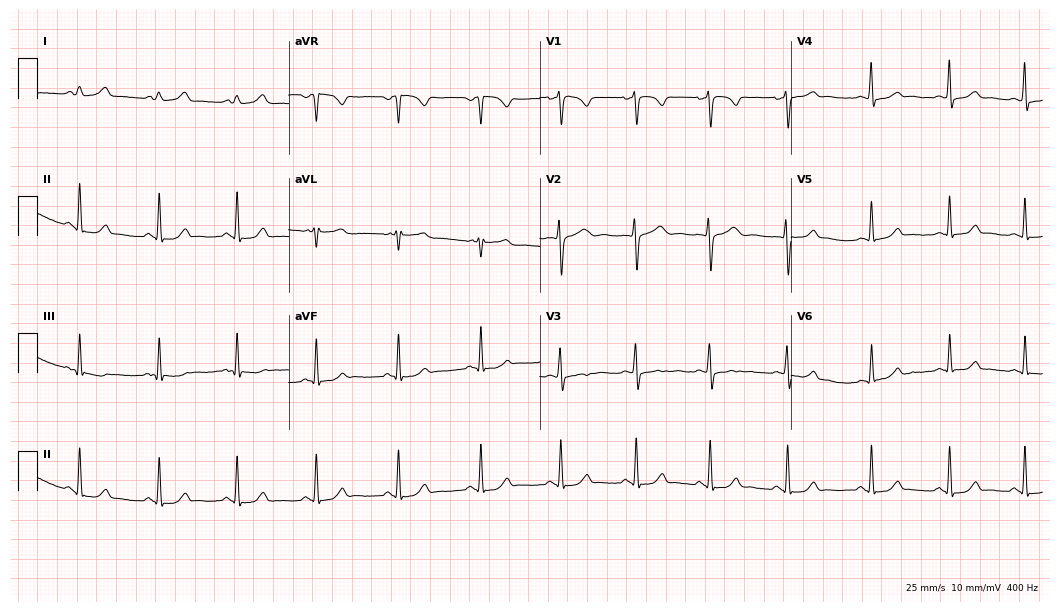
Standard 12-lead ECG recorded from a female, 30 years old (10.2-second recording at 400 Hz). Read as a normal ECG.